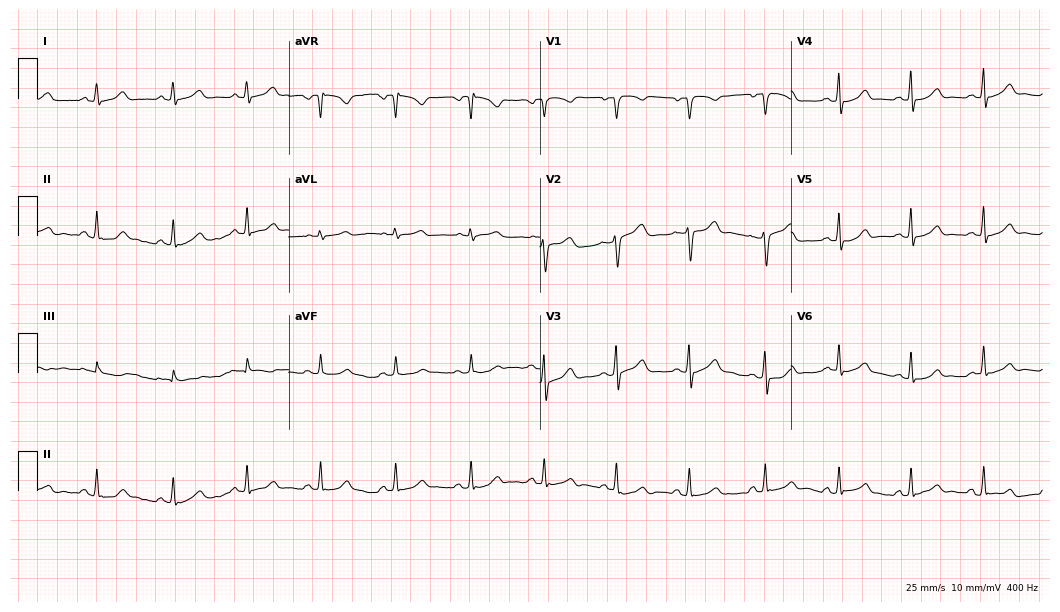
12-lead ECG from an 18-year-old female patient. Recorded interpretation: within normal limits.